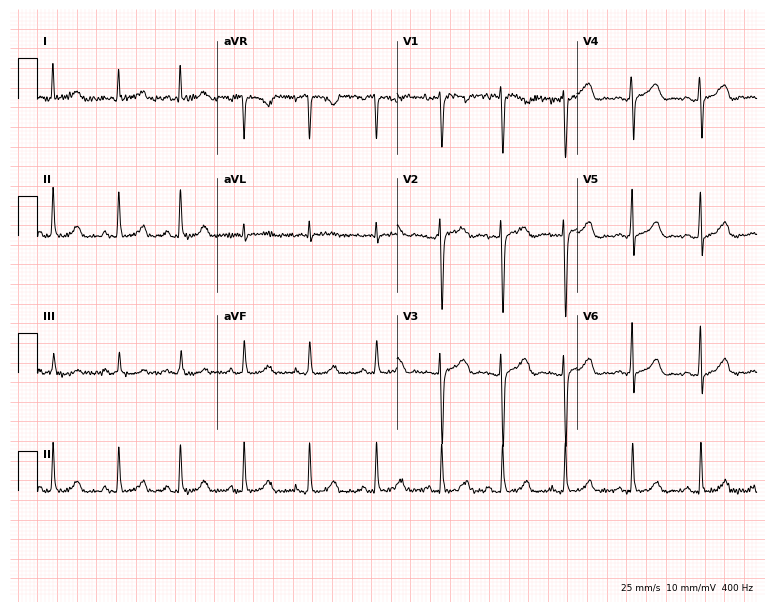
Resting 12-lead electrocardiogram (7.3-second recording at 400 Hz). Patient: a 25-year-old female. Read as a normal ECG.